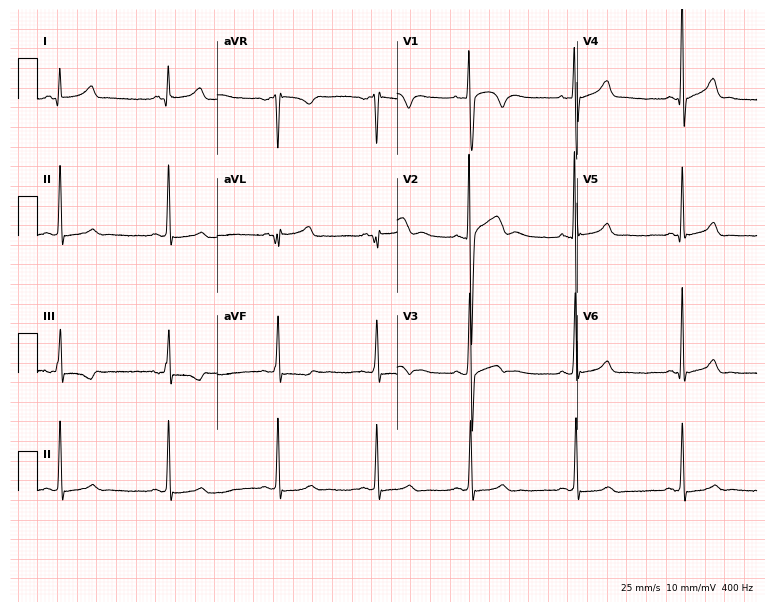
Resting 12-lead electrocardiogram. Patient: a male, 28 years old. None of these six findings is recorded: first-degree AV block, right bundle branch block, left bundle branch block, sinus bradycardia, atrial fibrillation, sinus tachycardia. Only these six findings were labelled.